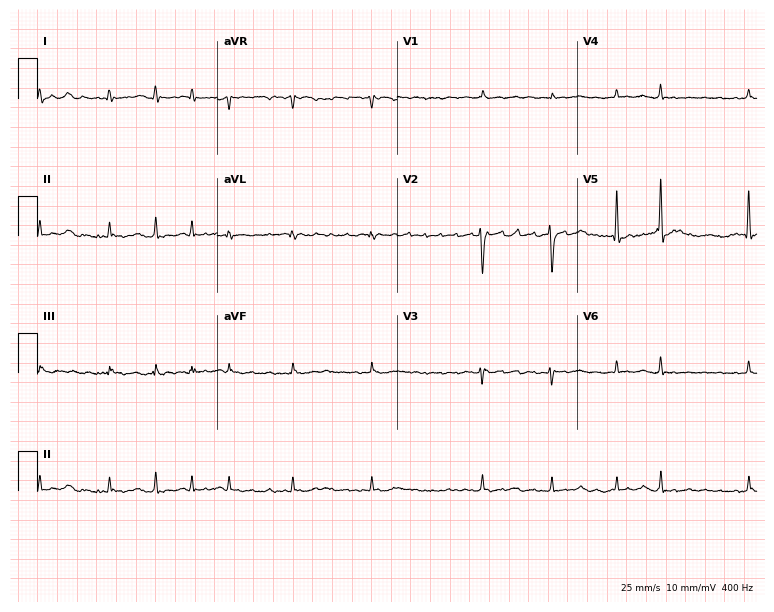
Electrocardiogram, a 36-year-old female. Interpretation includes atrial fibrillation.